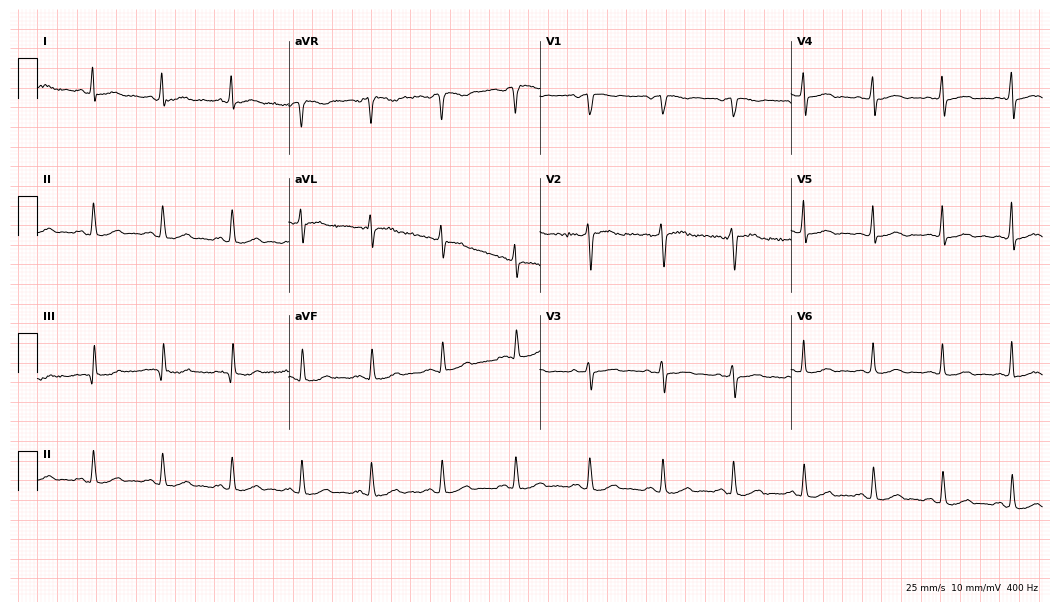
Standard 12-lead ECG recorded from a 64-year-old female patient. None of these six findings is recorded: first-degree AV block, right bundle branch block, left bundle branch block, sinus bradycardia, atrial fibrillation, sinus tachycardia.